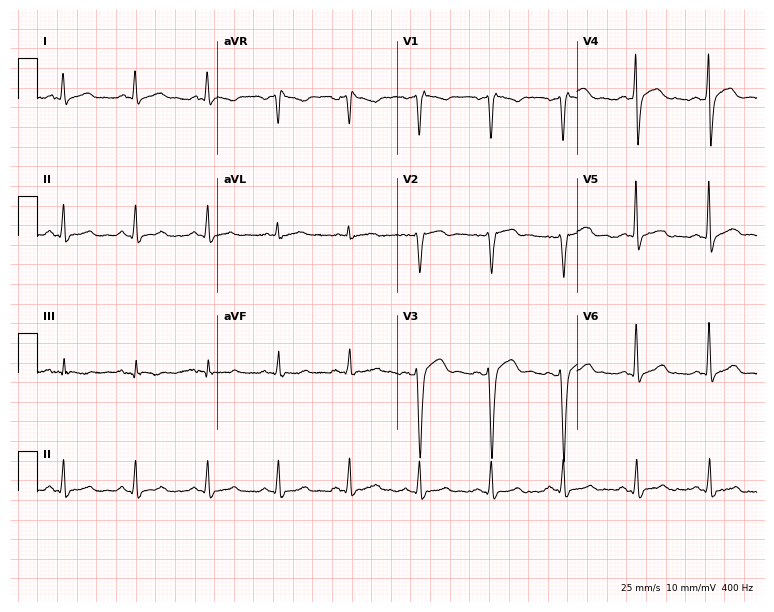
Resting 12-lead electrocardiogram (7.3-second recording at 400 Hz). Patient: a 51-year-old man. None of these six findings is recorded: first-degree AV block, right bundle branch block, left bundle branch block, sinus bradycardia, atrial fibrillation, sinus tachycardia.